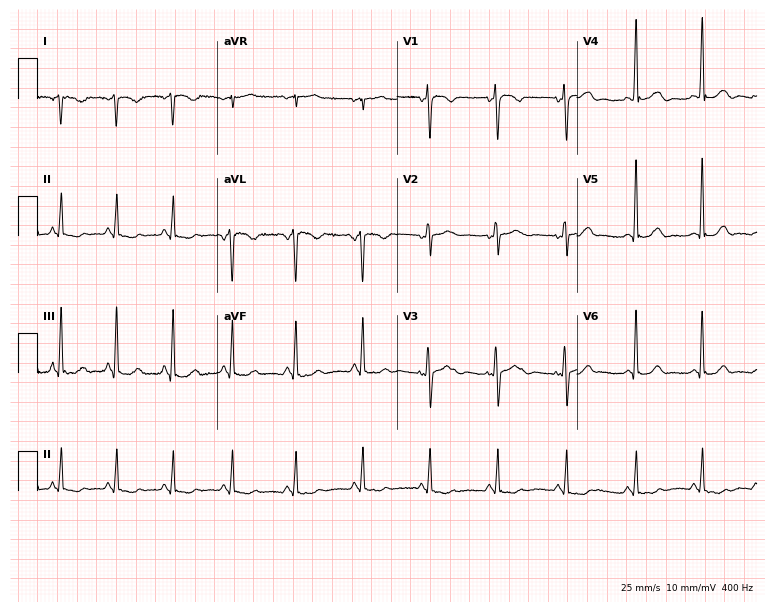
ECG (7.3-second recording at 400 Hz) — a 42-year-old female. Screened for six findings — first-degree AV block, right bundle branch block, left bundle branch block, sinus bradycardia, atrial fibrillation, sinus tachycardia — none is recorded. Other findings, if any, are not listed.